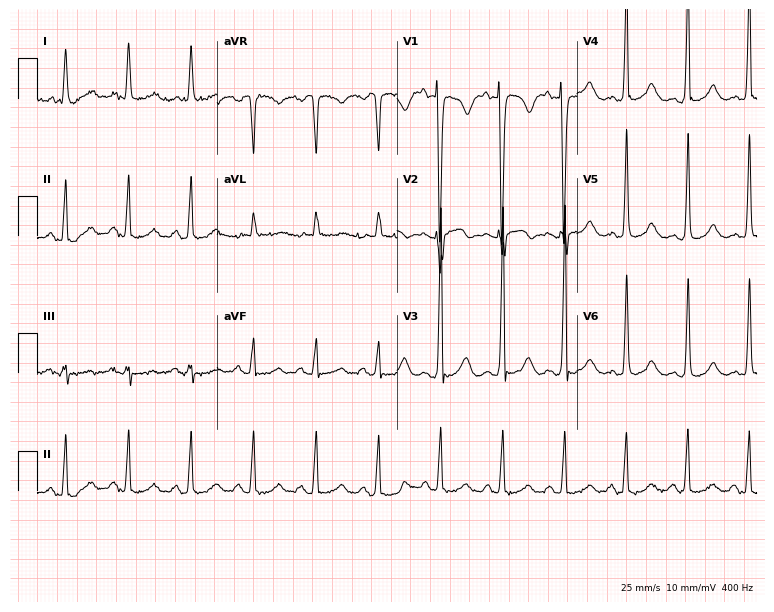
ECG — a 57-year-old man. Screened for six findings — first-degree AV block, right bundle branch block (RBBB), left bundle branch block (LBBB), sinus bradycardia, atrial fibrillation (AF), sinus tachycardia — none is recorded.